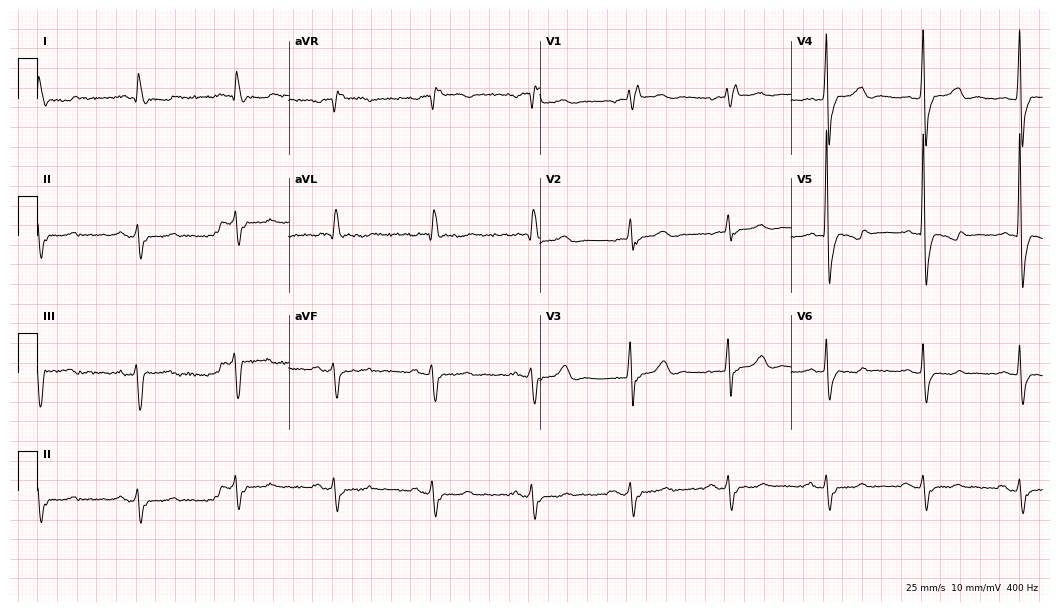
ECG (10.2-second recording at 400 Hz) — a 75-year-old man. Findings include right bundle branch block.